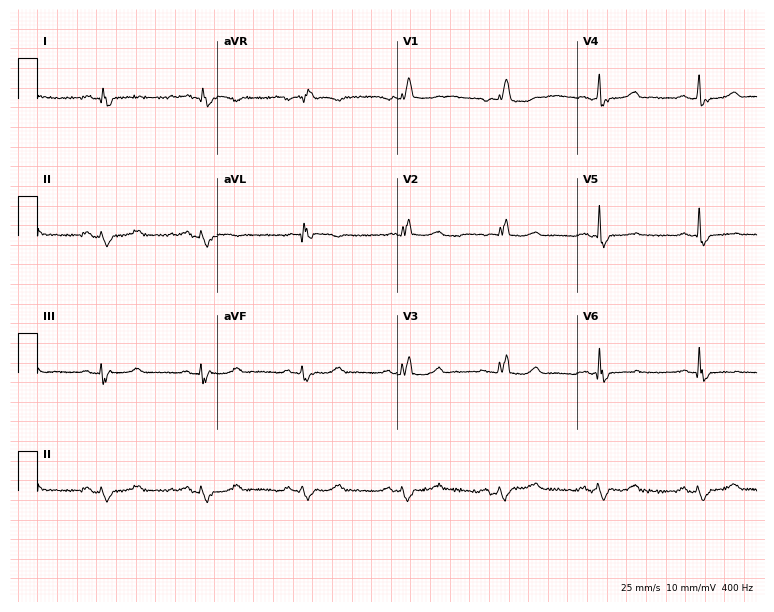
Electrocardiogram, a female patient, 80 years old. Interpretation includes right bundle branch block (RBBB).